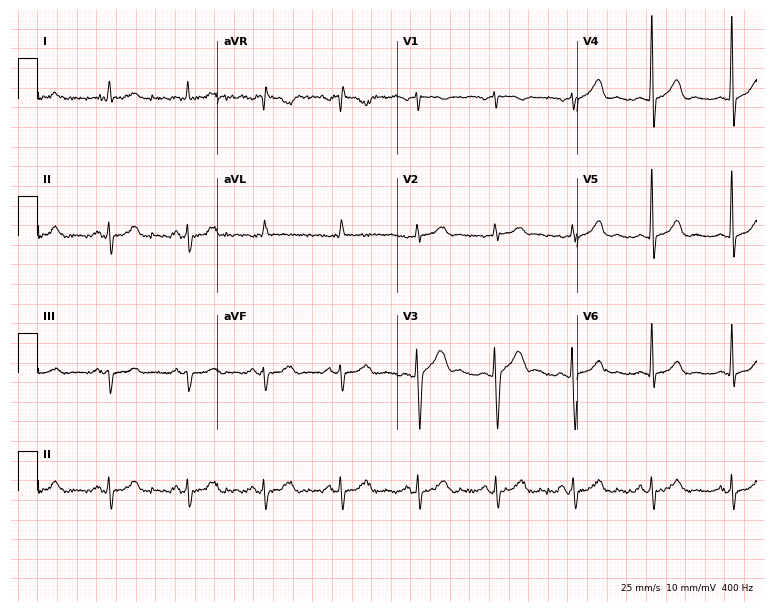
Electrocardiogram (7.3-second recording at 400 Hz), a 55-year-old man. Of the six screened findings (first-degree AV block, right bundle branch block (RBBB), left bundle branch block (LBBB), sinus bradycardia, atrial fibrillation (AF), sinus tachycardia), none is recorded.